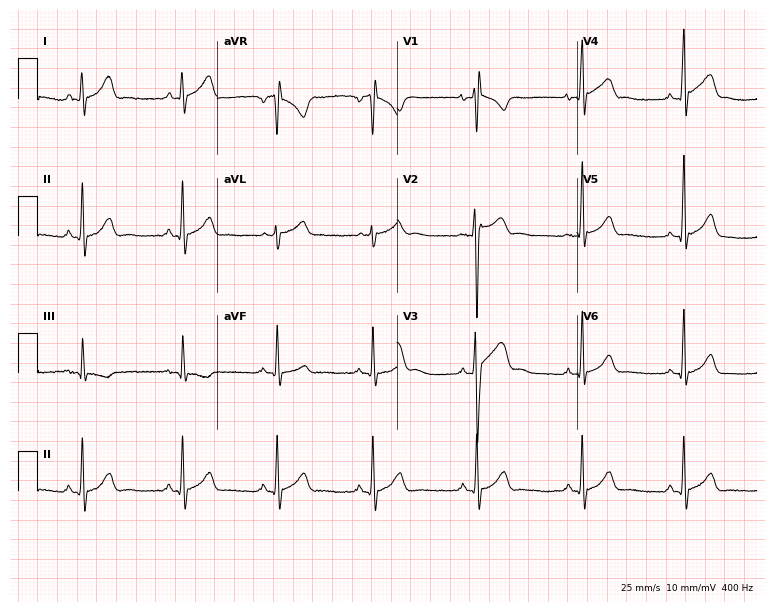
12-lead ECG (7.3-second recording at 400 Hz) from a man, 21 years old. Screened for six findings — first-degree AV block, right bundle branch block, left bundle branch block, sinus bradycardia, atrial fibrillation, sinus tachycardia — none is recorded.